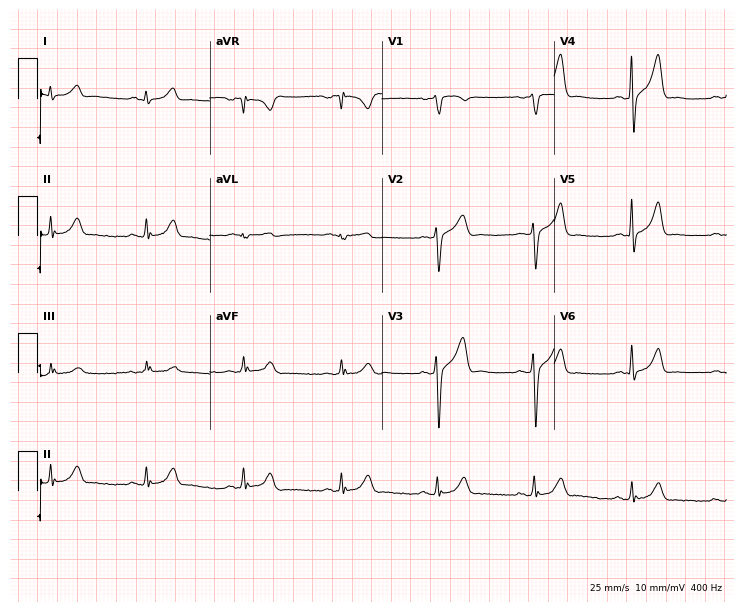
Electrocardiogram, a 50-year-old male. Overall reading on record: normal ECG.